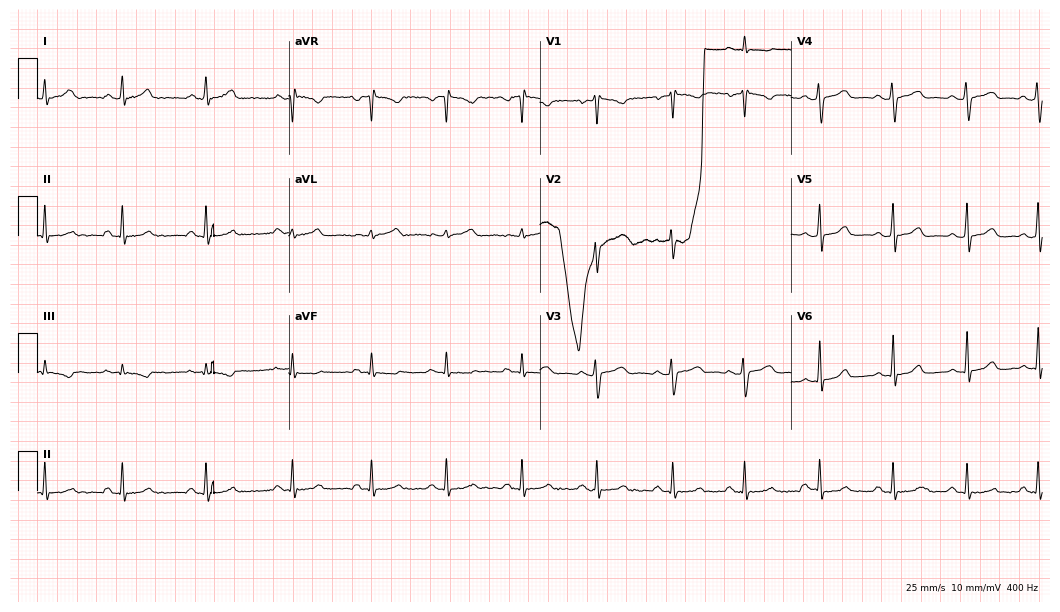
Standard 12-lead ECG recorded from a female patient, 32 years old (10.2-second recording at 400 Hz). None of these six findings is recorded: first-degree AV block, right bundle branch block (RBBB), left bundle branch block (LBBB), sinus bradycardia, atrial fibrillation (AF), sinus tachycardia. Findings outside these six are not listed.